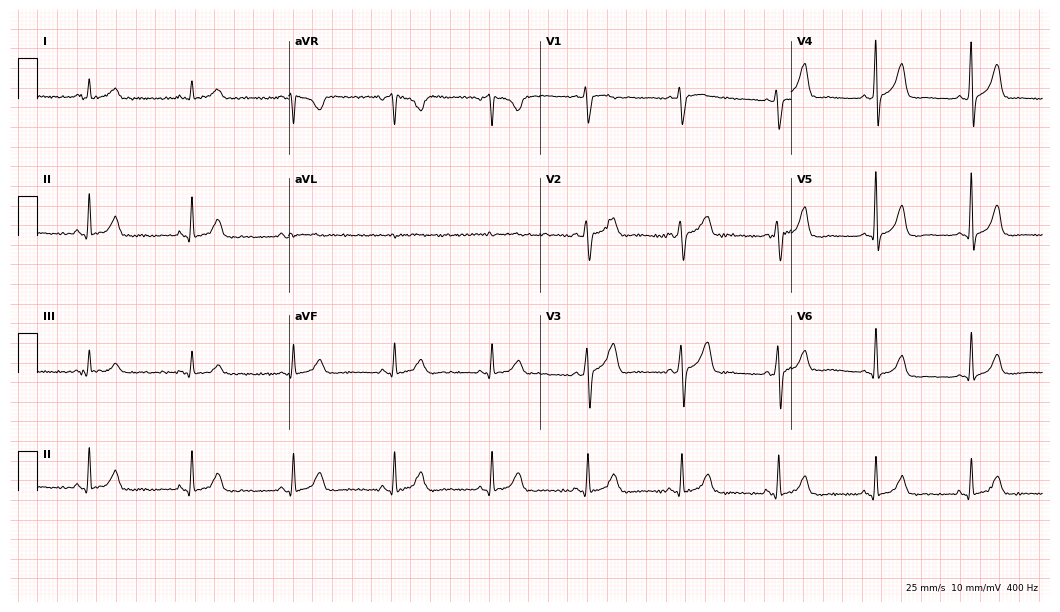
Resting 12-lead electrocardiogram (10.2-second recording at 400 Hz). Patient: an 80-year-old male. None of these six findings is recorded: first-degree AV block, right bundle branch block, left bundle branch block, sinus bradycardia, atrial fibrillation, sinus tachycardia.